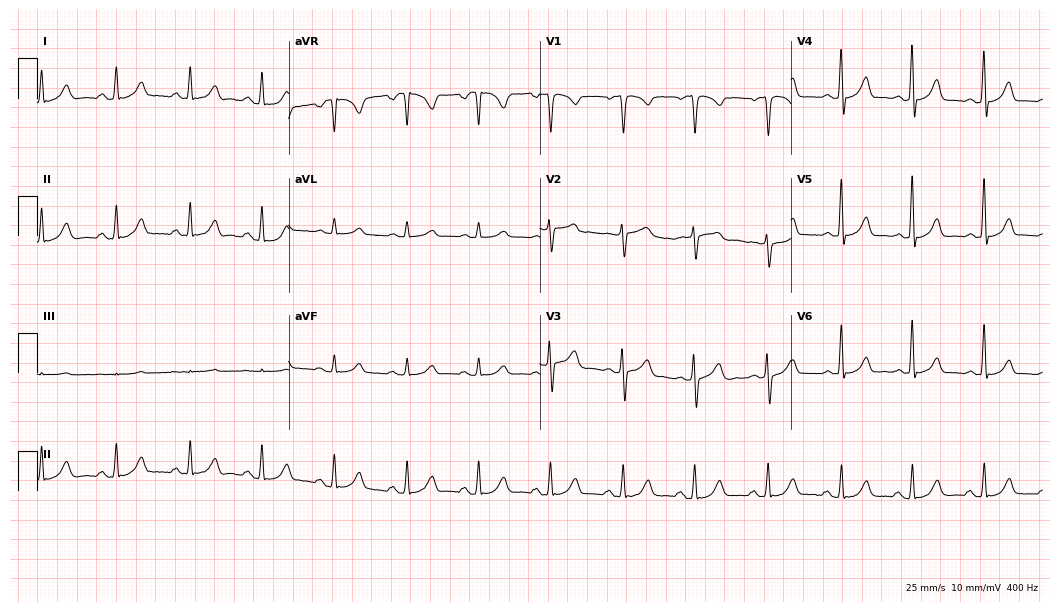
12-lead ECG (10.2-second recording at 400 Hz) from a woman, 40 years old. Labelled as a normal ECG.